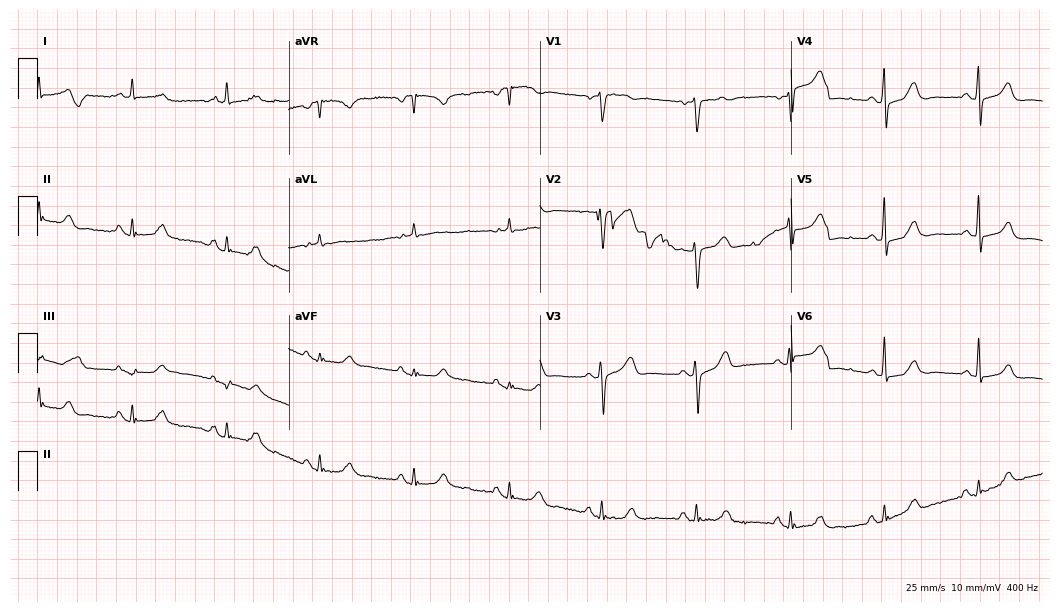
Resting 12-lead electrocardiogram. Patient: an 82-year-old female. Read as a normal ECG.